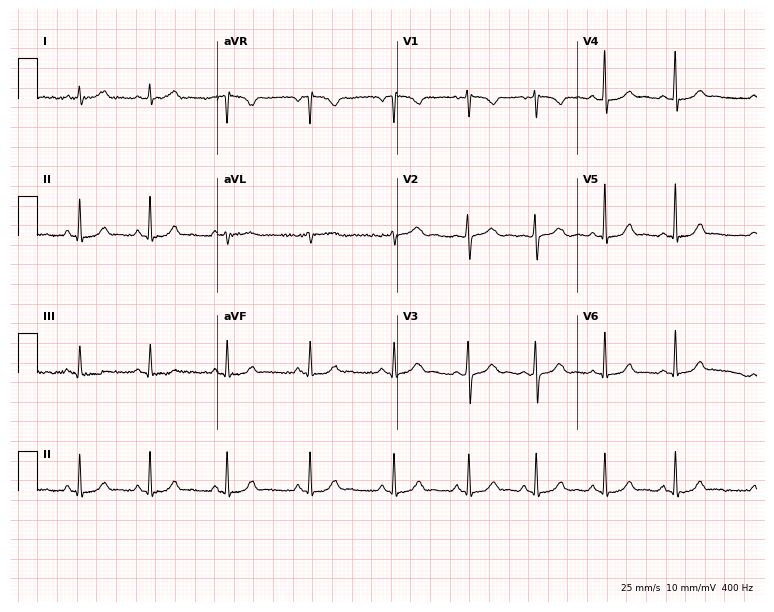
12-lead ECG from a 24-year-old female. Recorded interpretation: within normal limits.